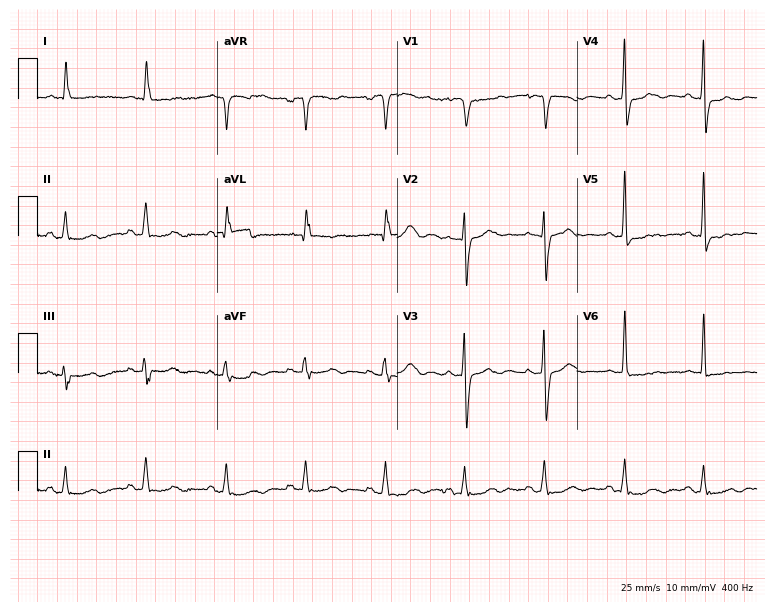
12-lead ECG (7.3-second recording at 400 Hz) from a 75-year-old female. Screened for six findings — first-degree AV block, right bundle branch block, left bundle branch block, sinus bradycardia, atrial fibrillation, sinus tachycardia — none is recorded.